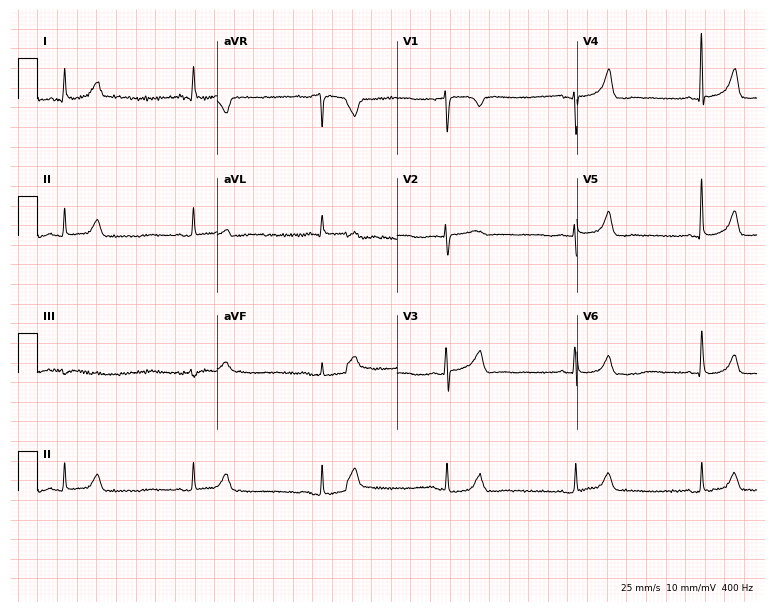
ECG — a woman, 66 years old. Findings include sinus bradycardia (a sinus rate of 50 beats per minute or less).